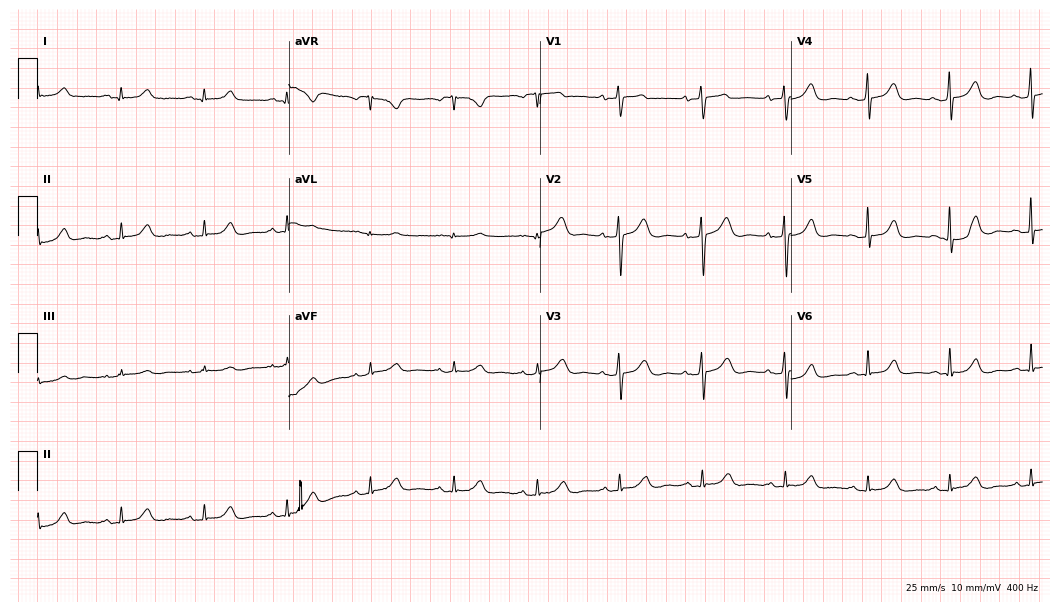
12-lead ECG from a female patient, 69 years old (10.2-second recording at 400 Hz). Recorded interpretation: within normal limits.